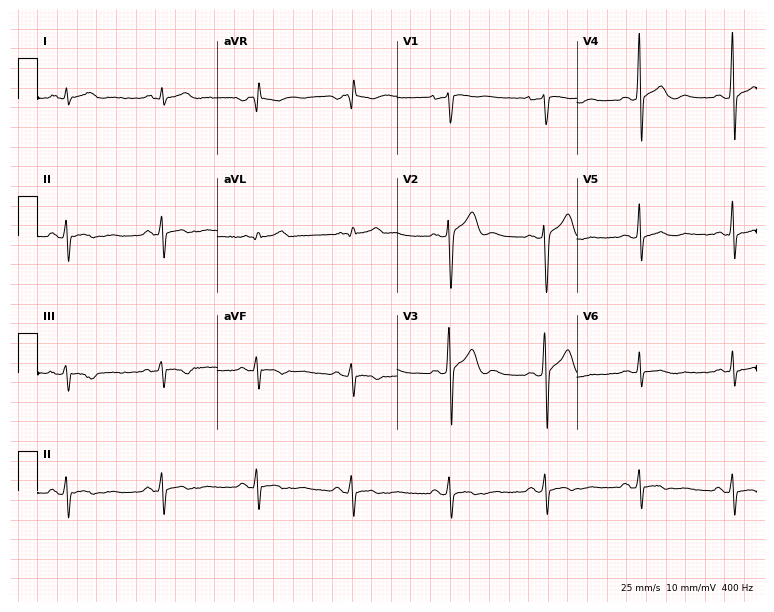
12-lead ECG from a male, 28 years old. Screened for six findings — first-degree AV block, right bundle branch block, left bundle branch block, sinus bradycardia, atrial fibrillation, sinus tachycardia — none is recorded.